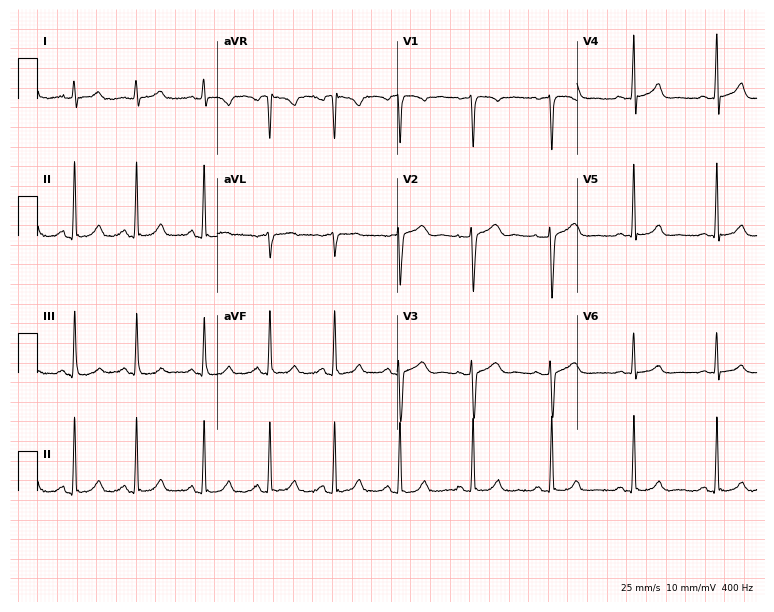
Standard 12-lead ECG recorded from a female patient, 38 years old (7.3-second recording at 400 Hz). None of these six findings is recorded: first-degree AV block, right bundle branch block (RBBB), left bundle branch block (LBBB), sinus bradycardia, atrial fibrillation (AF), sinus tachycardia.